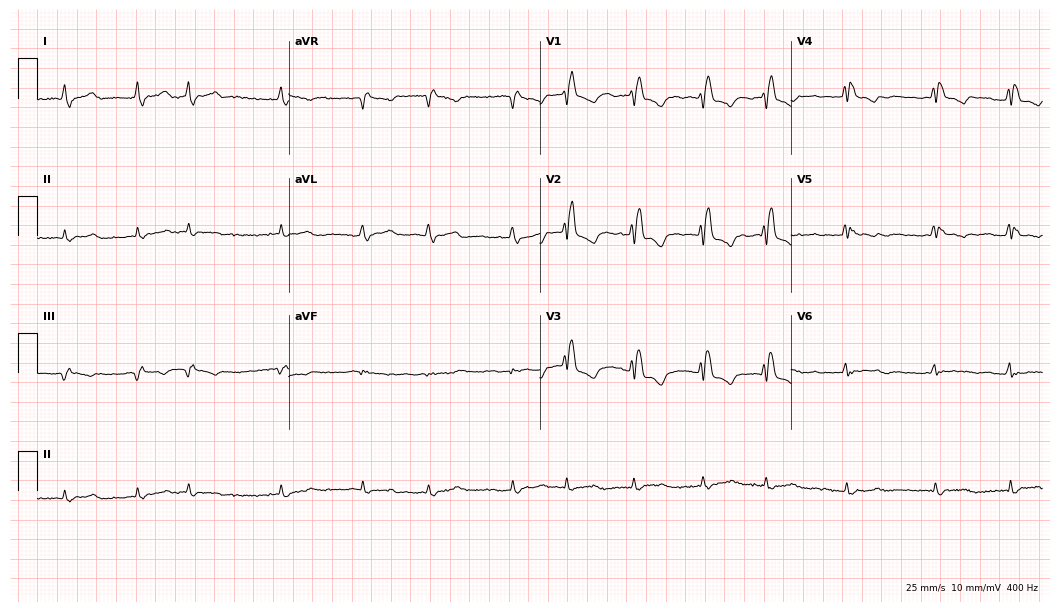
12-lead ECG from a woman, 57 years old. Shows right bundle branch block, atrial fibrillation.